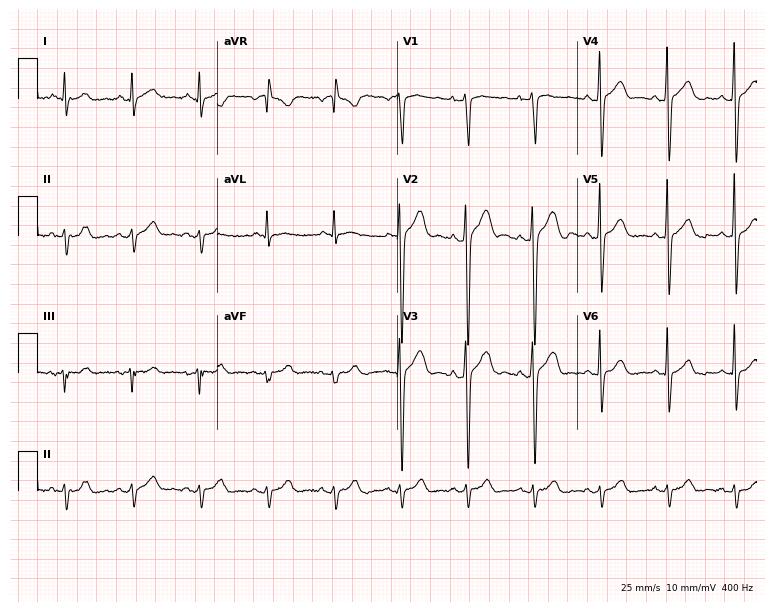
Standard 12-lead ECG recorded from a 39-year-old man (7.3-second recording at 400 Hz). None of these six findings is recorded: first-degree AV block, right bundle branch block (RBBB), left bundle branch block (LBBB), sinus bradycardia, atrial fibrillation (AF), sinus tachycardia.